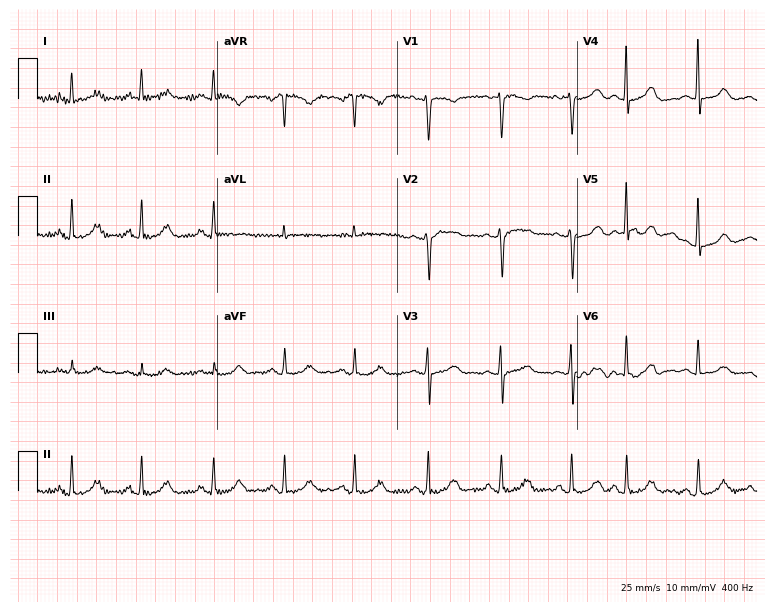
Resting 12-lead electrocardiogram (7.3-second recording at 400 Hz). Patient: a 43-year-old female. None of these six findings is recorded: first-degree AV block, right bundle branch block, left bundle branch block, sinus bradycardia, atrial fibrillation, sinus tachycardia. Findings outside these six are not listed.